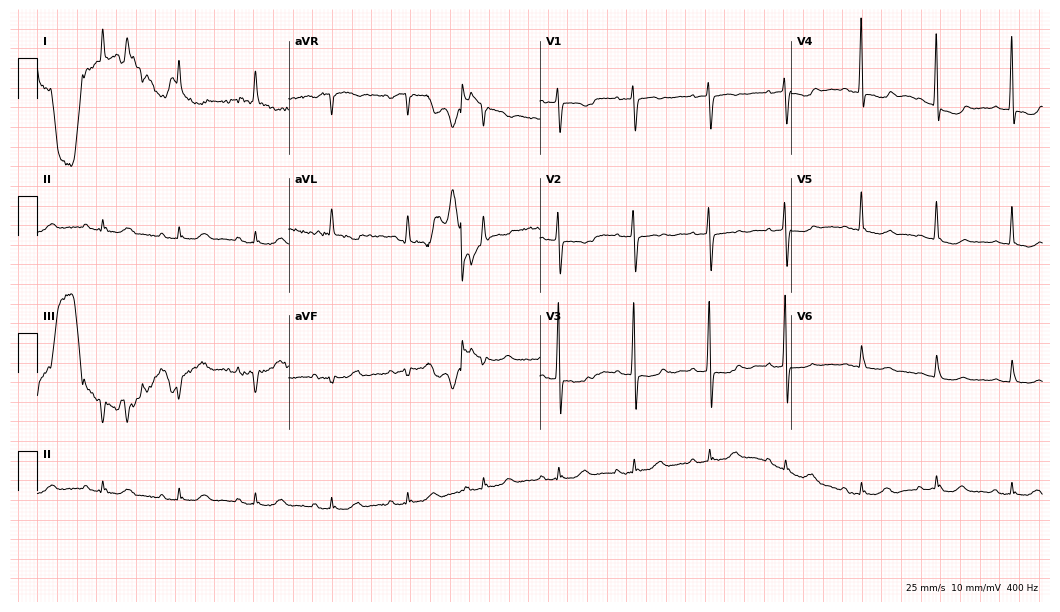
Resting 12-lead electrocardiogram. Patient: an 84-year-old woman. None of these six findings is recorded: first-degree AV block, right bundle branch block, left bundle branch block, sinus bradycardia, atrial fibrillation, sinus tachycardia.